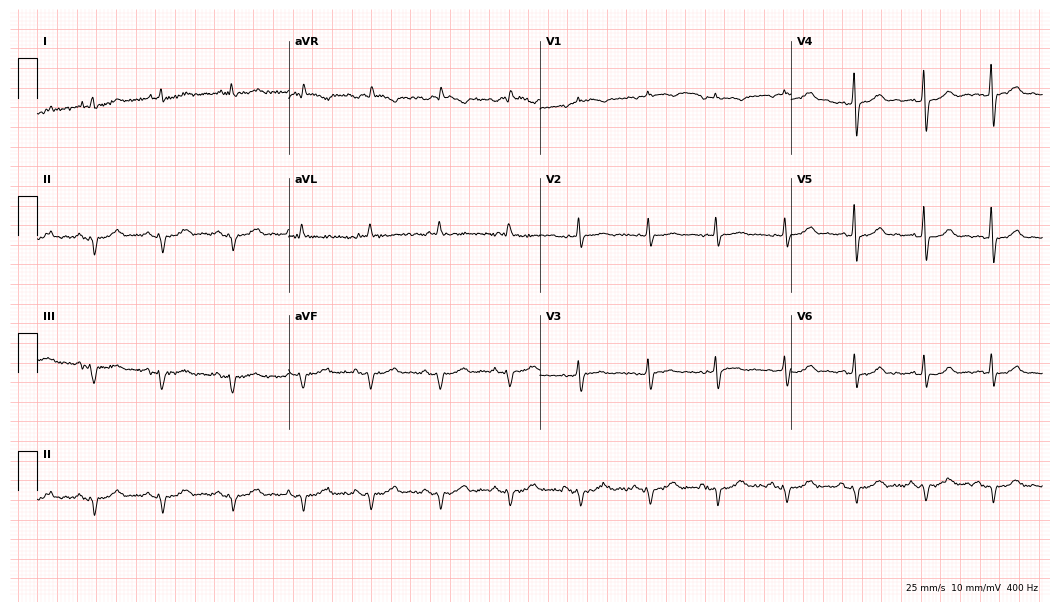
12-lead ECG (10.2-second recording at 400 Hz) from a male patient, 84 years old. Screened for six findings — first-degree AV block, right bundle branch block, left bundle branch block, sinus bradycardia, atrial fibrillation, sinus tachycardia — none is recorded. Other findings, if any, are not listed.